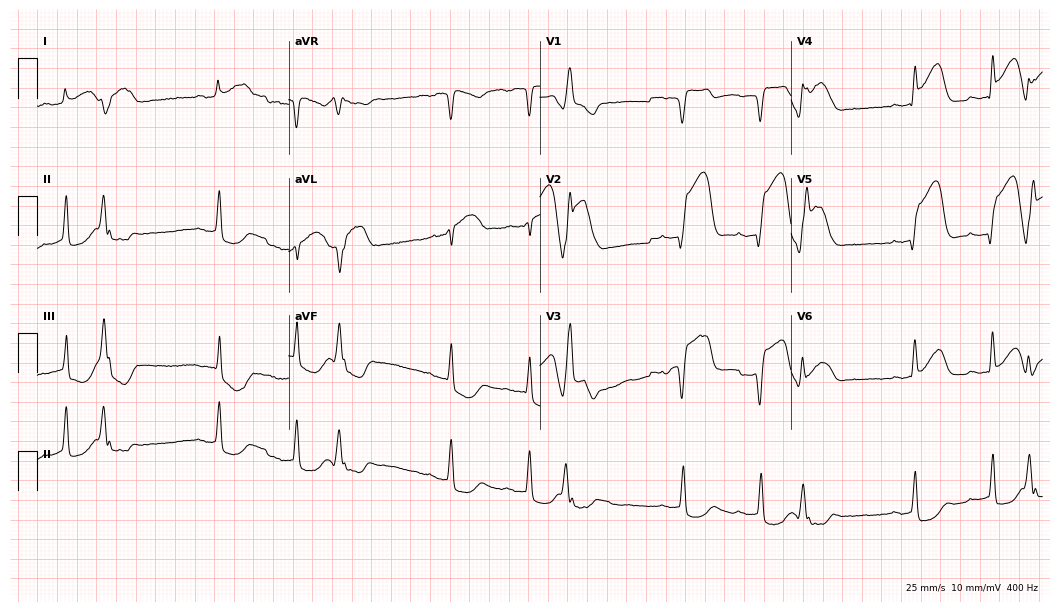
12-lead ECG from a male patient, 80 years old (10.2-second recording at 400 Hz). Shows first-degree AV block.